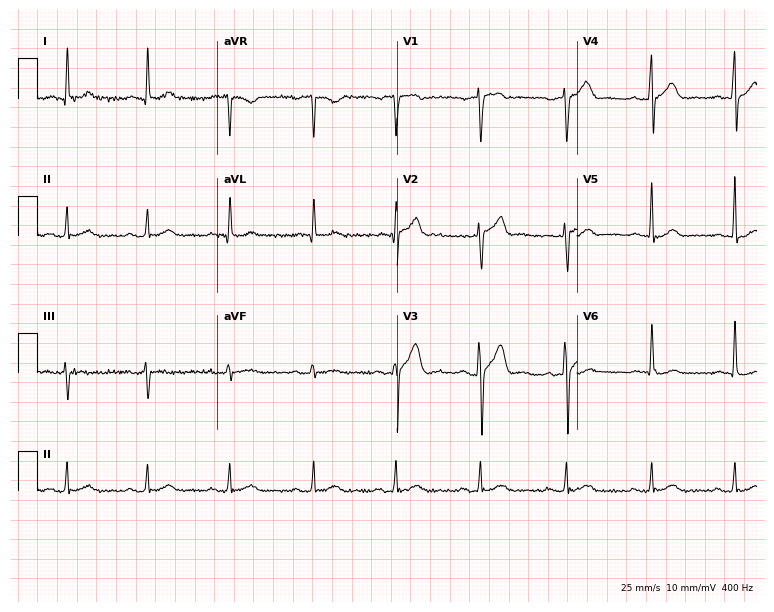
Electrocardiogram, a 53-year-old male. Overall reading on record: normal ECG.